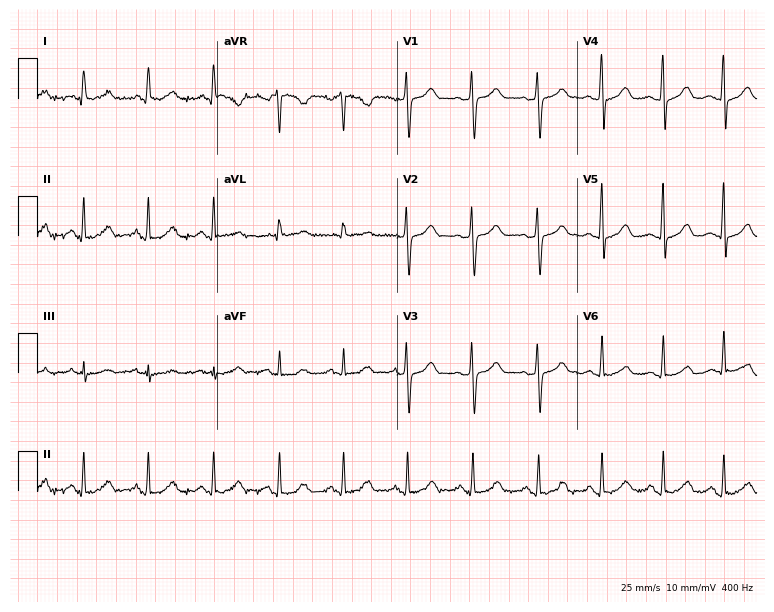
Electrocardiogram (7.3-second recording at 400 Hz), a 56-year-old female. Of the six screened findings (first-degree AV block, right bundle branch block (RBBB), left bundle branch block (LBBB), sinus bradycardia, atrial fibrillation (AF), sinus tachycardia), none is recorded. Findings outside these six are not listed.